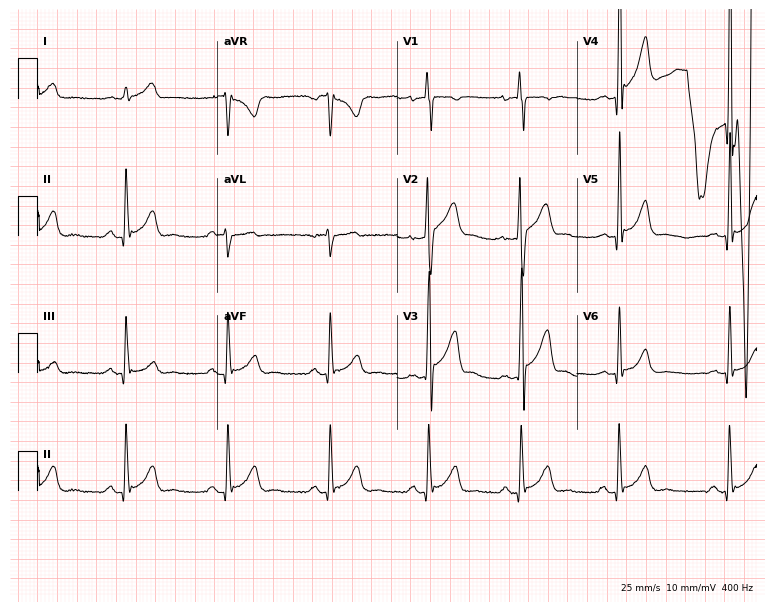
12-lead ECG from a male patient, 23 years old. Labelled as a normal ECG.